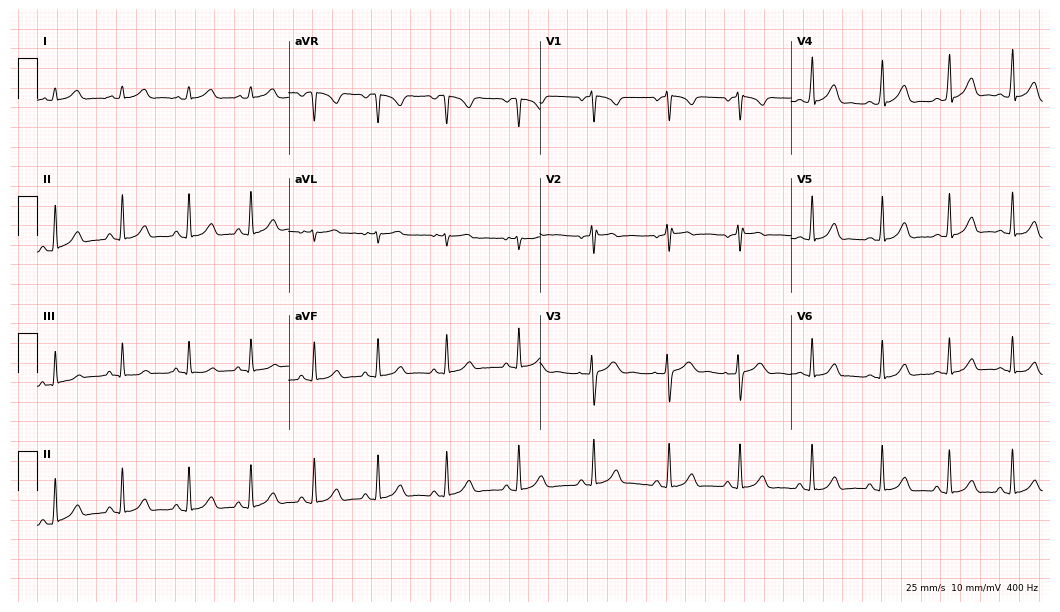
12-lead ECG from a 23-year-old female patient (10.2-second recording at 400 Hz). Recorded interpretation: within normal limits.